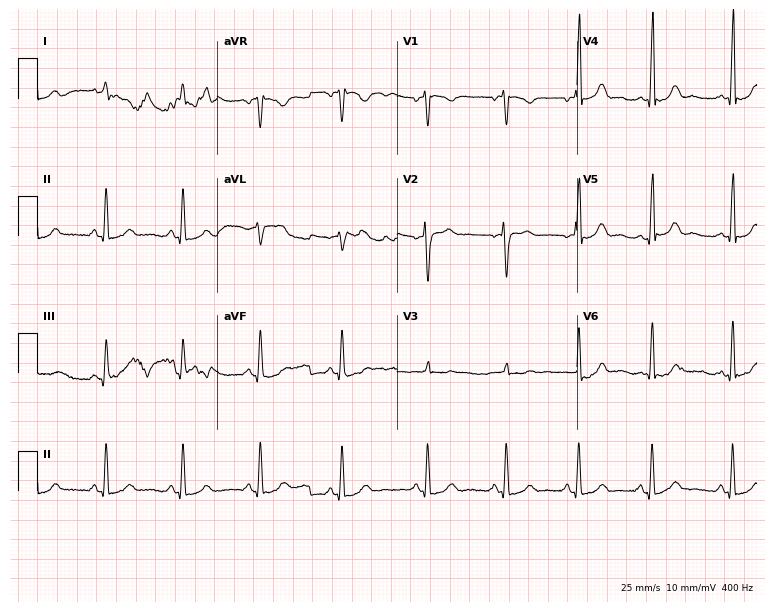
Electrocardiogram (7.3-second recording at 400 Hz), a 27-year-old woman. Of the six screened findings (first-degree AV block, right bundle branch block (RBBB), left bundle branch block (LBBB), sinus bradycardia, atrial fibrillation (AF), sinus tachycardia), none is recorded. Only these six findings were labelled.